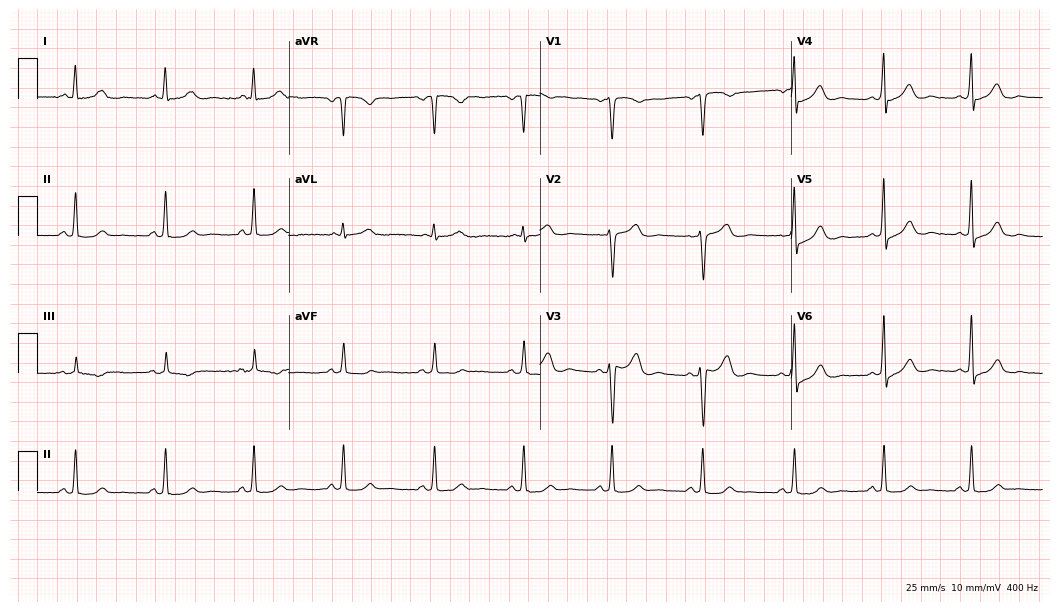
Standard 12-lead ECG recorded from a male, 51 years old. Read as a normal ECG.